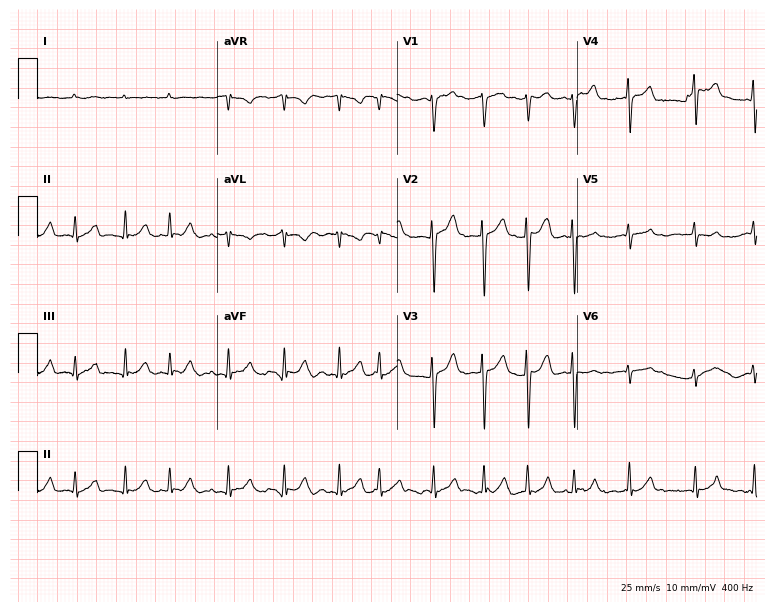
12-lead ECG from a male patient, 64 years old. Findings include atrial fibrillation.